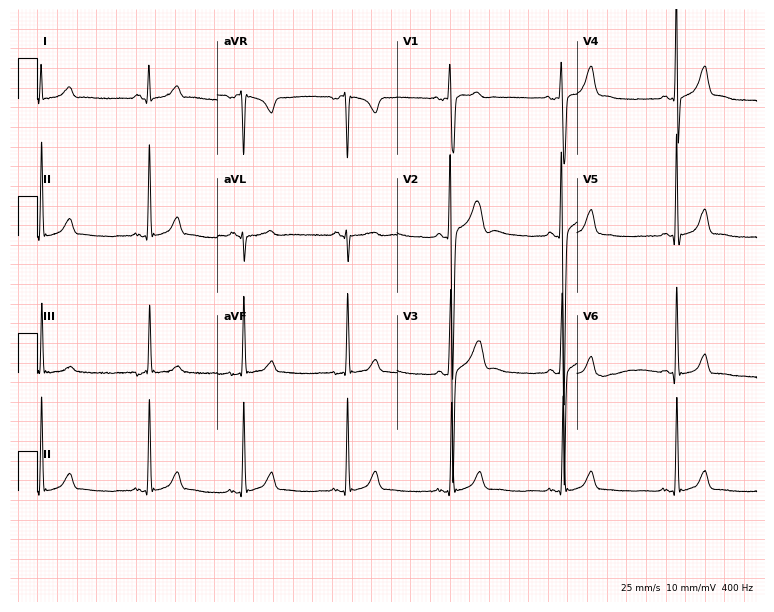
ECG — a male, 17 years old. Screened for six findings — first-degree AV block, right bundle branch block, left bundle branch block, sinus bradycardia, atrial fibrillation, sinus tachycardia — none is recorded. Findings outside these six are not listed.